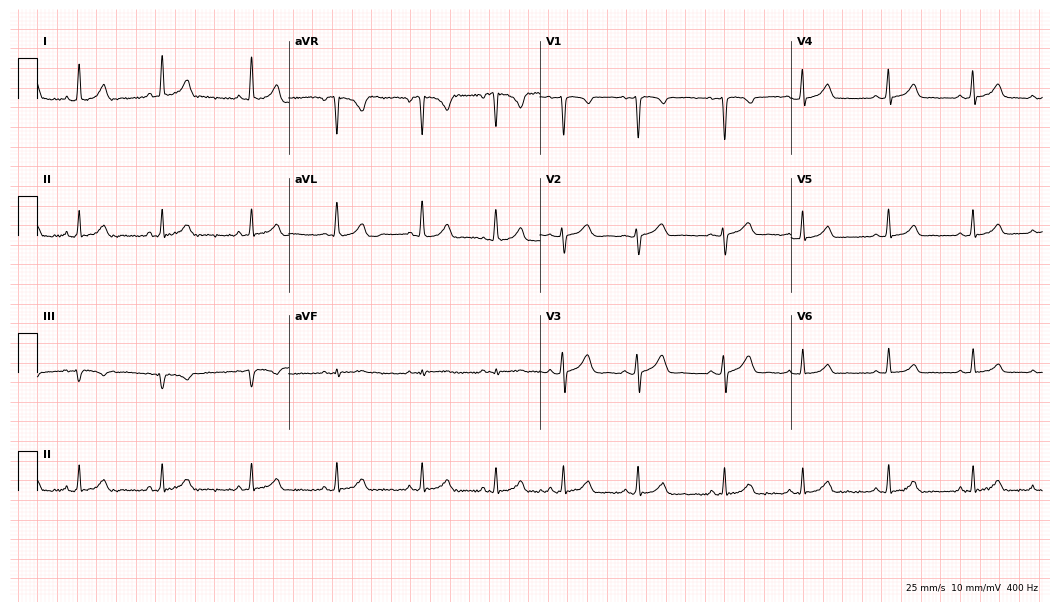
12-lead ECG from a female patient, 19 years old. Recorded interpretation: within normal limits.